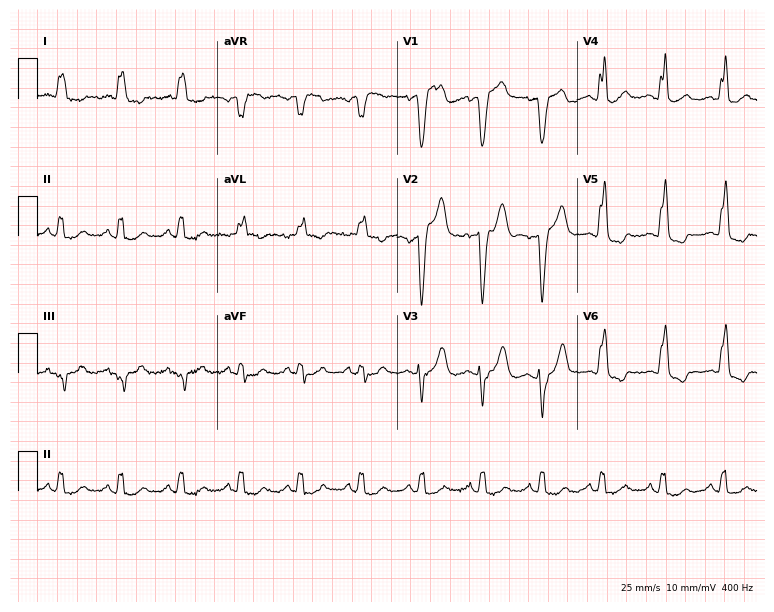
12-lead ECG from an 82-year-old man (7.3-second recording at 400 Hz). No first-degree AV block, right bundle branch block (RBBB), left bundle branch block (LBBB), sinus bradycardia, atrial fibrillation (AF) or sinus tachycardia recorded for this tracing.